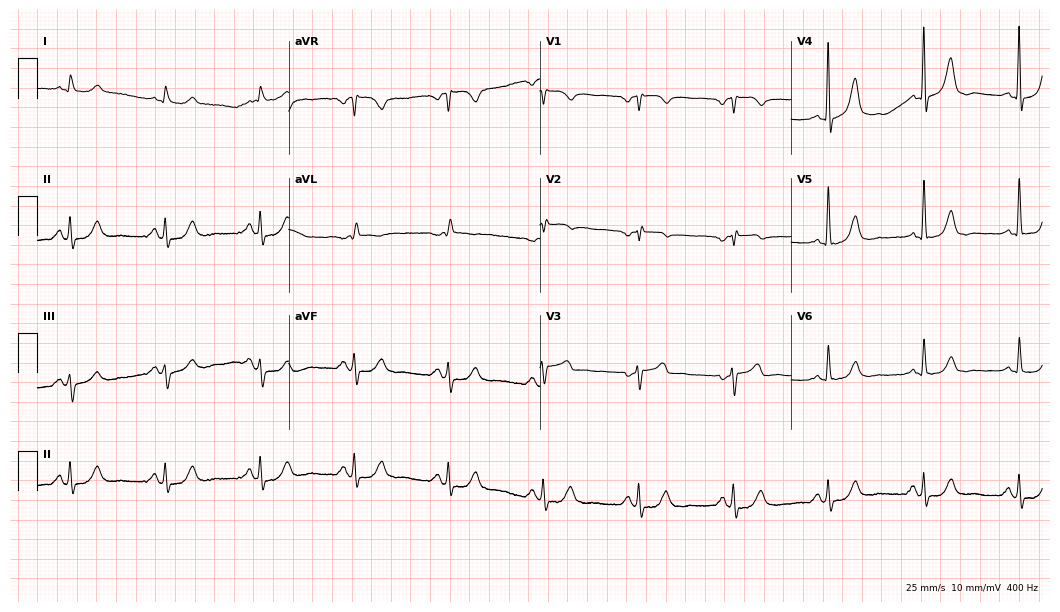
12-lead ECG from a 71-year-old male. Labelled as a normal ECG.